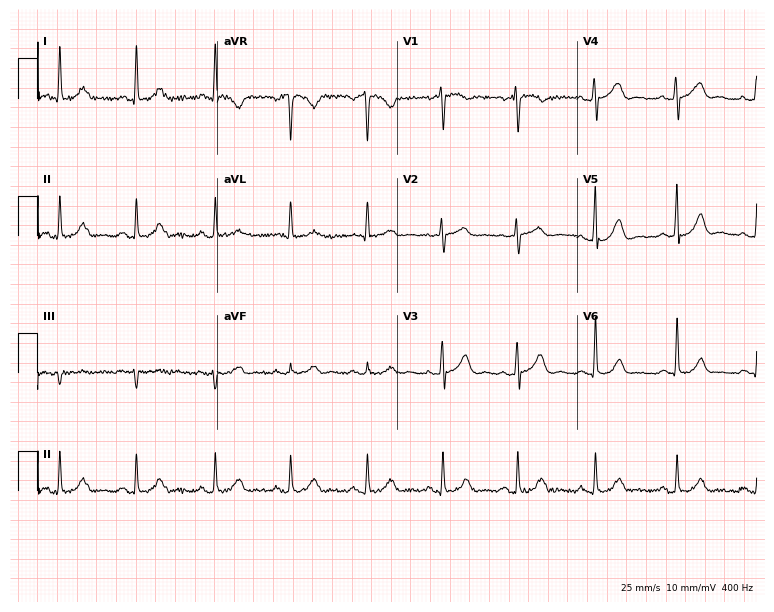
ECG (7.3-second recording at 400 Hz) — a 63-year-old female patient. Labelled as a normal ECG.